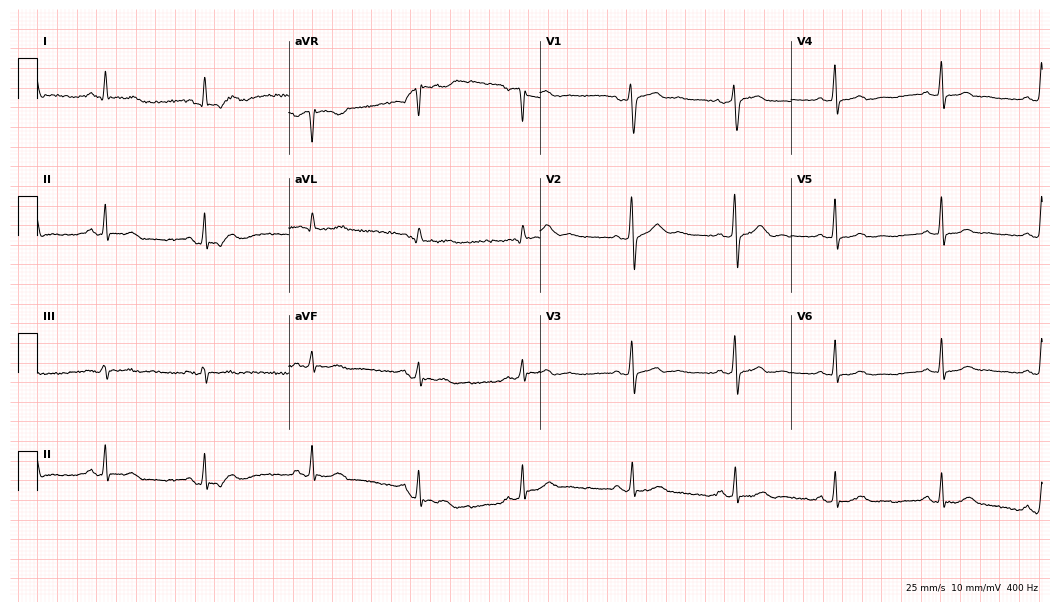
ECG — a 51-year-old female. Labelled as a normal ECG.